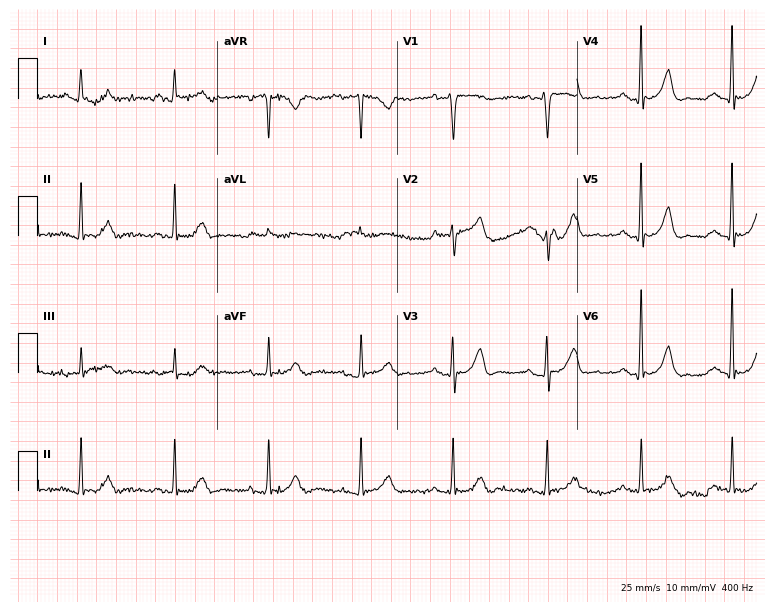
12-lead ECG from a 79-year-old man (7.3-second recording at 400 Hz). Recorded interpretation: within normal limits.